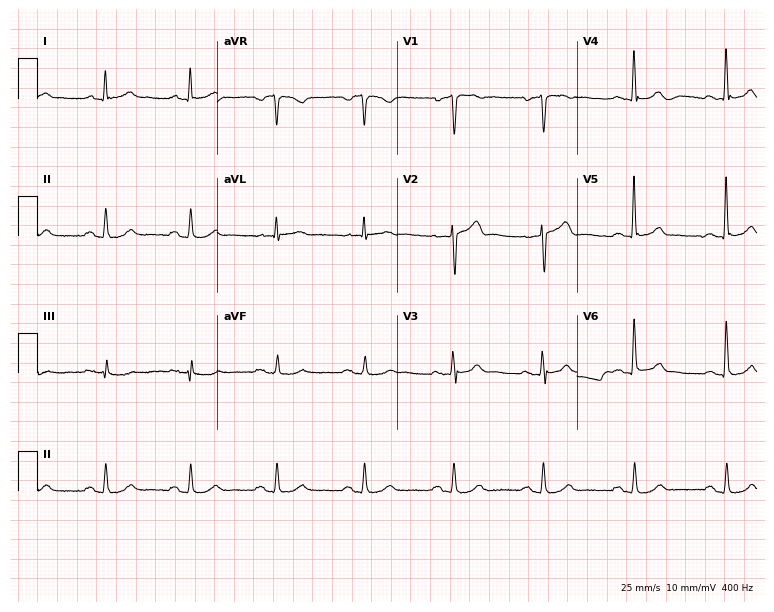
Electrocardiogram, a 63-year-old male. Overall reading on record: normal ECG.